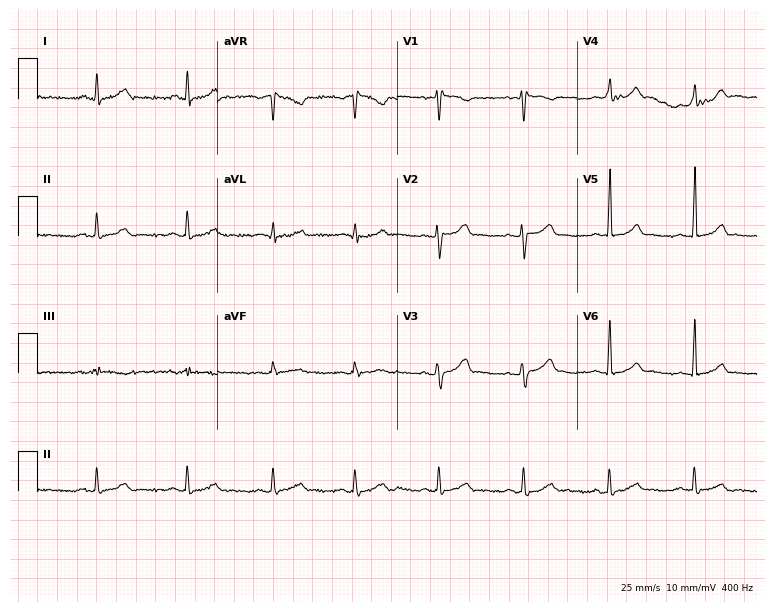
ECG (7.3-second recording at 400 Hz) — a male, 33 years old. Labelled as a normal ECG.